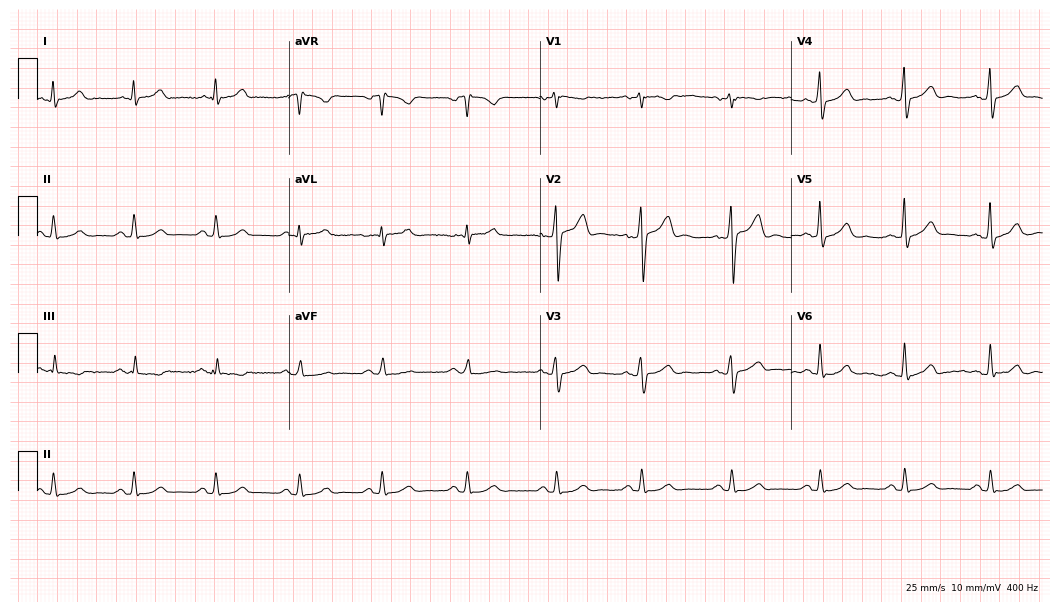
Resting 12-lead electrocardiogram. Patient: a male, 43 years old. Read as a normal ECG.